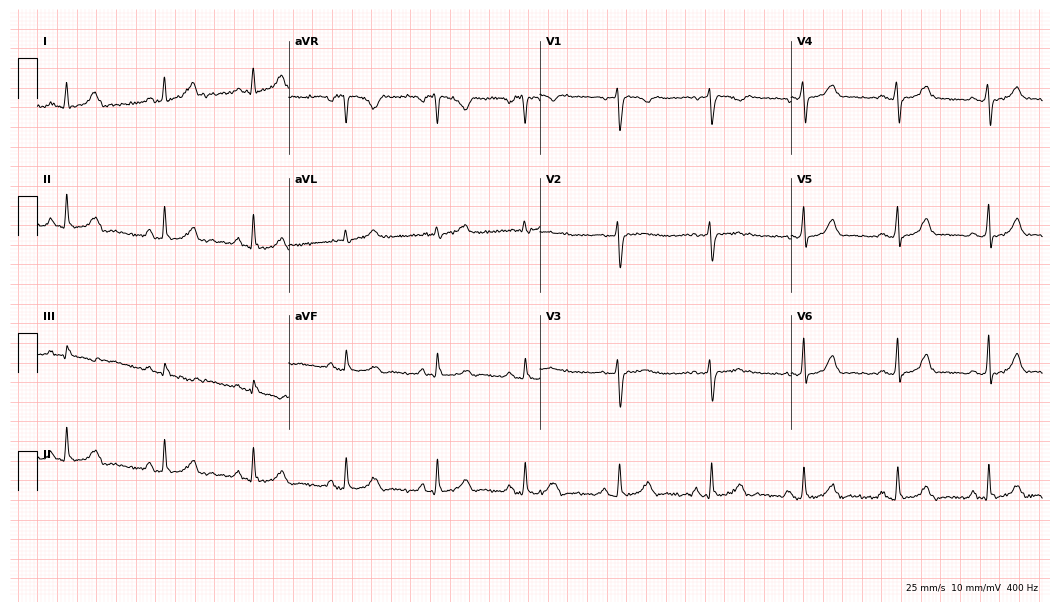
12-lead ECG (10.2-second recording at 400 Hz) from a female, 28 years old. Labelled as a normal ECG.